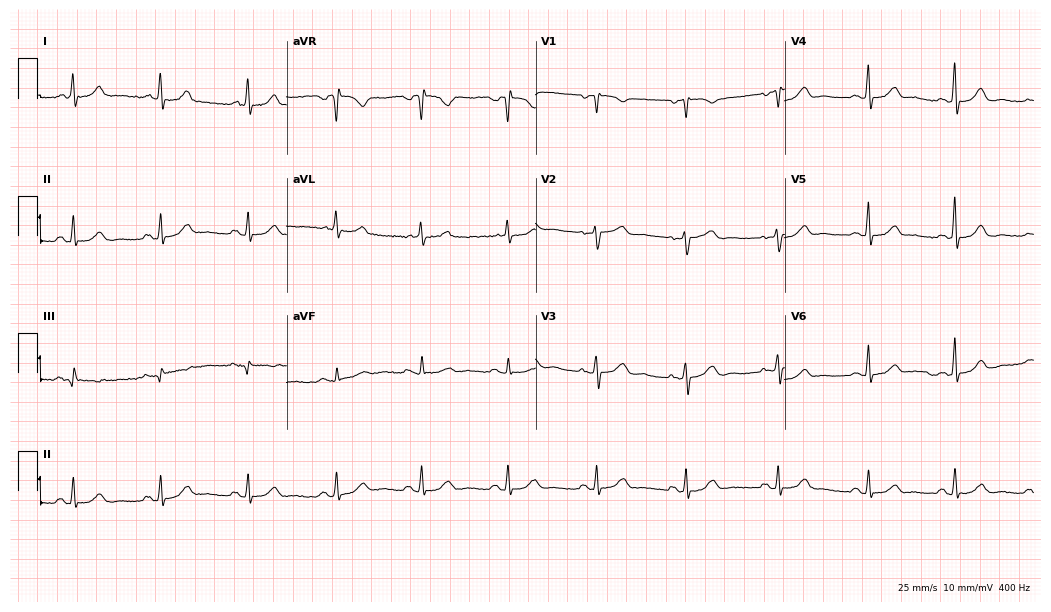
Resting 12-lead electrocardiogram (10.2-second recording at 400 Hz). Patient: a woman, 59 years old. Read as a normal ECG.